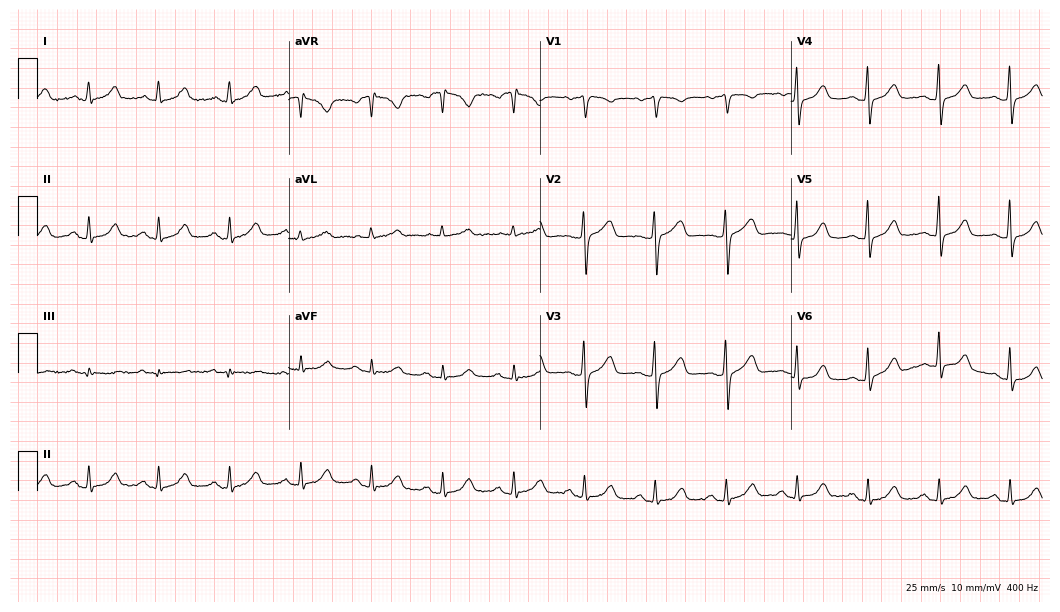
12-lead ECG from a female, 54 years old. Labelled as a normal ECG.